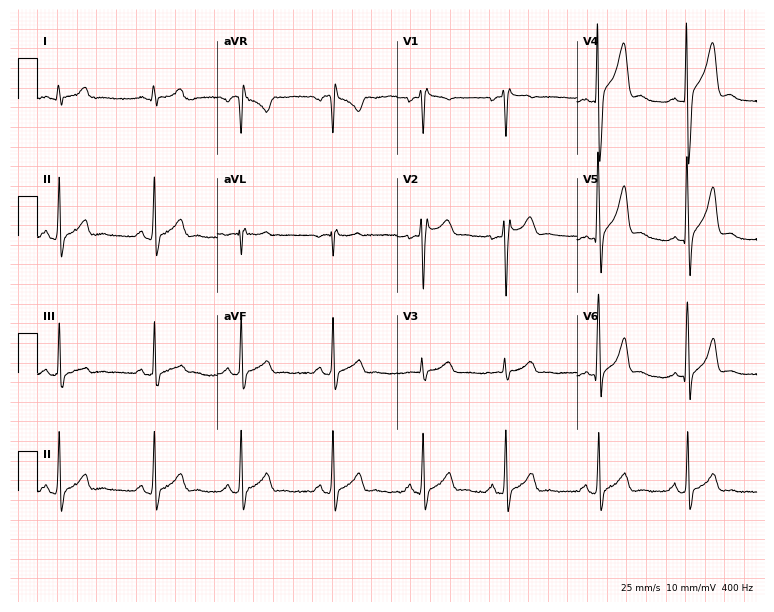
12-lead ECG from a 19-year-old male patient (7.3-second recording at 400 Hz). Recorded interpretation: within normal limits.